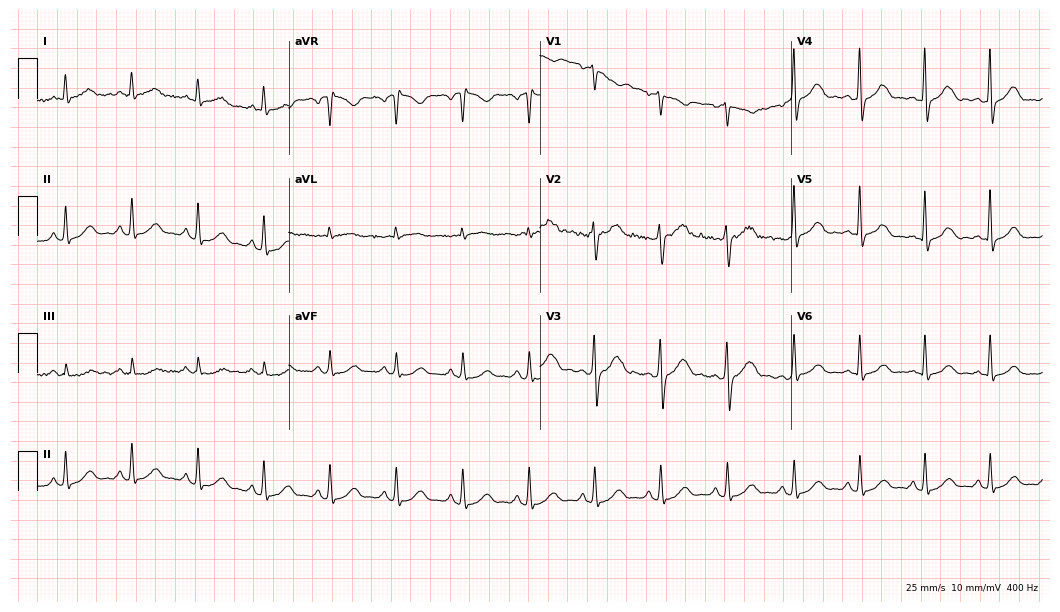
Electrocardiogram (10.2-second recording at 400 Hz), a 49-year-old male. Overall reading on record: normal ECG.